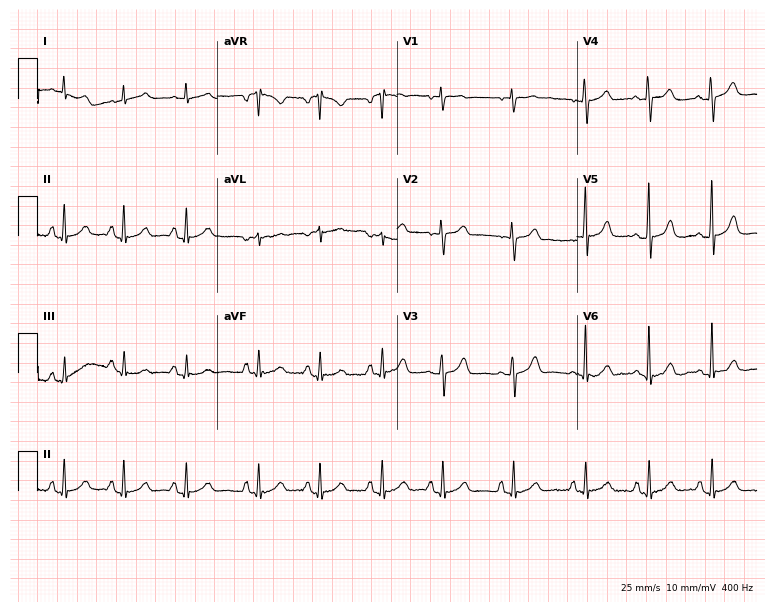
12-lead ECG from a woman, 64 years old. Labelled as a normal ECG.